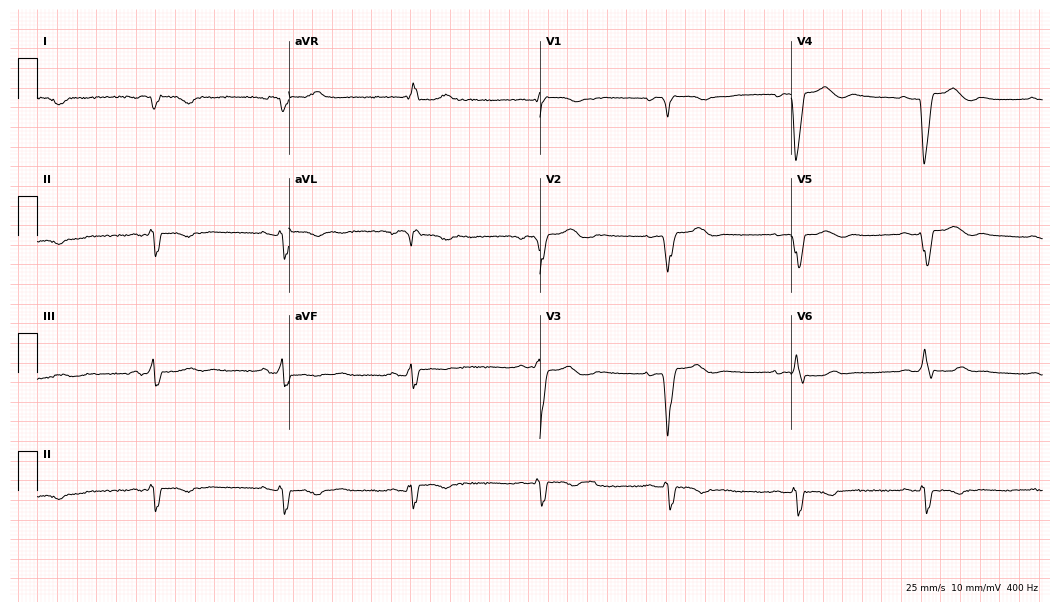
Resting 12-lead electrocardiogram. Patient: a woman, 67 years old. None of these six findings is recorded: first-degree AV block, right bundle branch block, left bundle branch block, sinus bradycardia, atrial fibrillation, sinus tachycardia. Only these six findings were labelled.